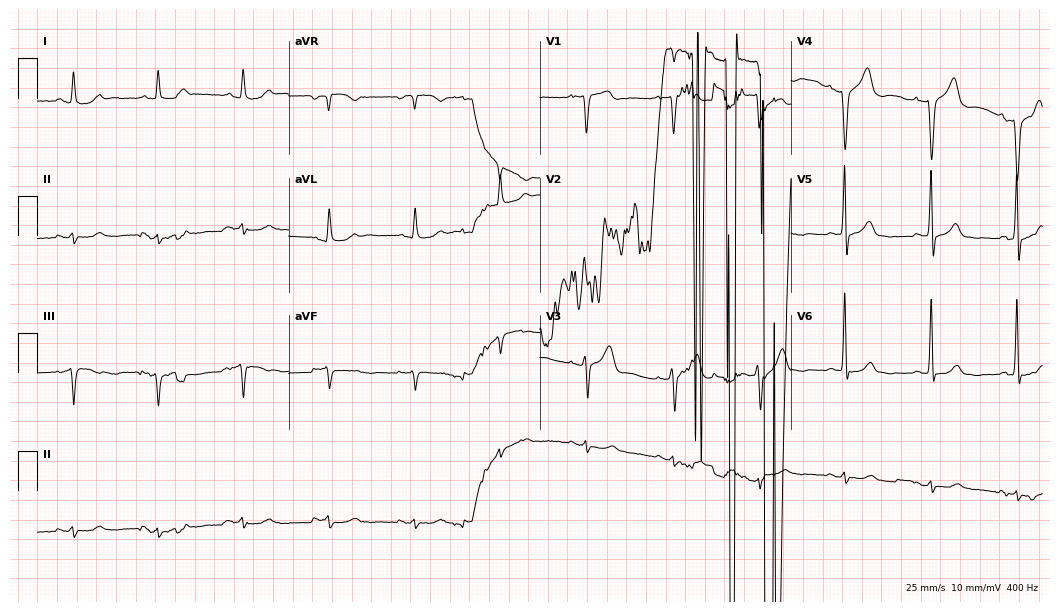
Resting 12-lead electrocardiogram (10.2-second recording at 400 Hz). Patient: a 70-year-old male. None of these six findings is recorded: first-degree AV block, right bundle branch block (RBBB), left bundle branch block (LBBB), sinus bradycardia, atrial fibrillation (AF), sinus tachycardia.